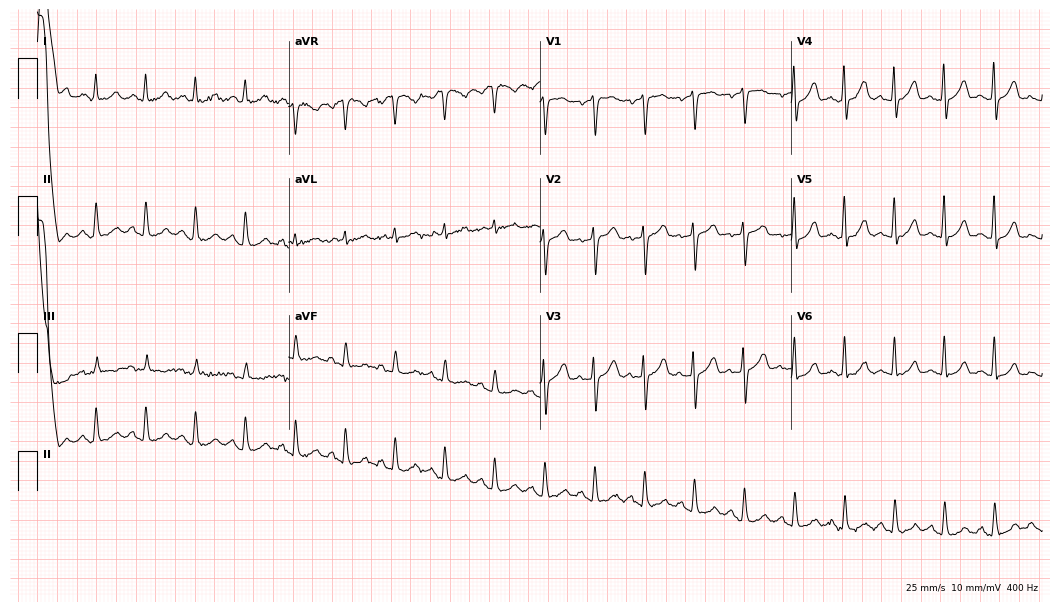
ECG (10.2-second recording at 400 Hz) — a woman, 52 years old. Findings include sinus tachycardia (a sinus rate of 100 beats per minute or more).